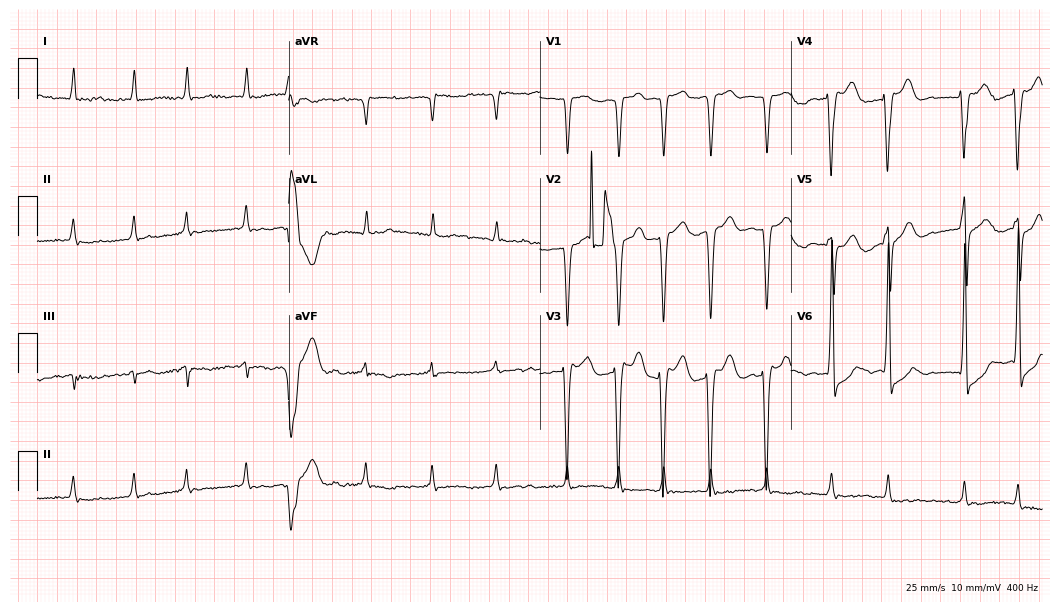
12-lead ECG from a male patient, 79 years old. Shows atrial fibrillation (AF).